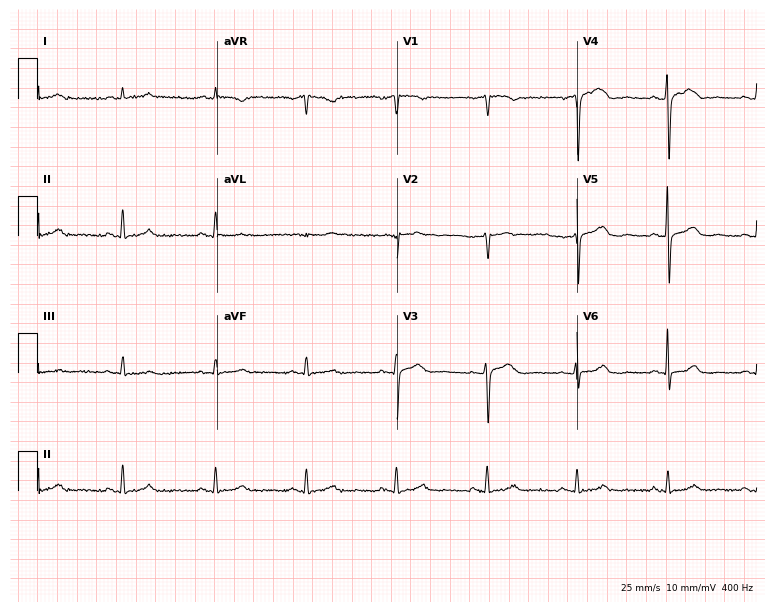
Standard 12-lead ECG recorded from a female, 72 years old (7.3-second recording at 400 Hz). Read as a normal ECG.